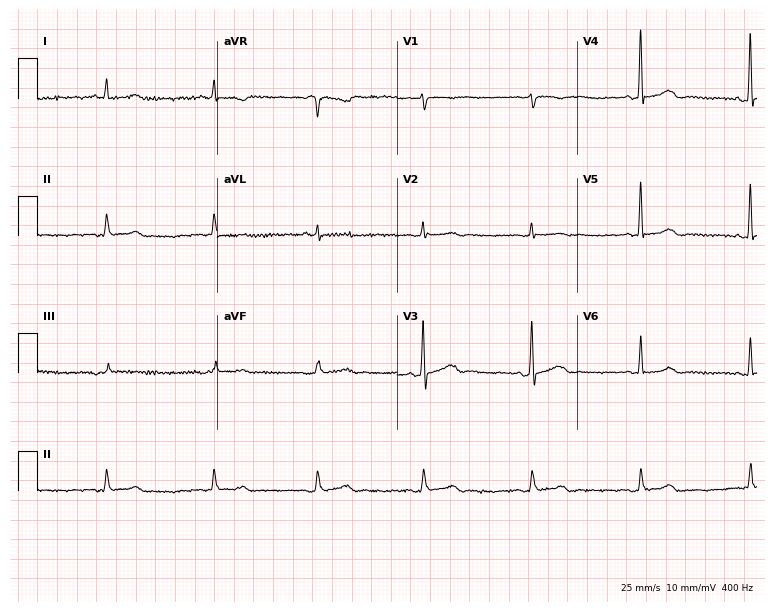
Standard 12-lead ECG recorded from a male, 74 years old. Read as a normal ECG.